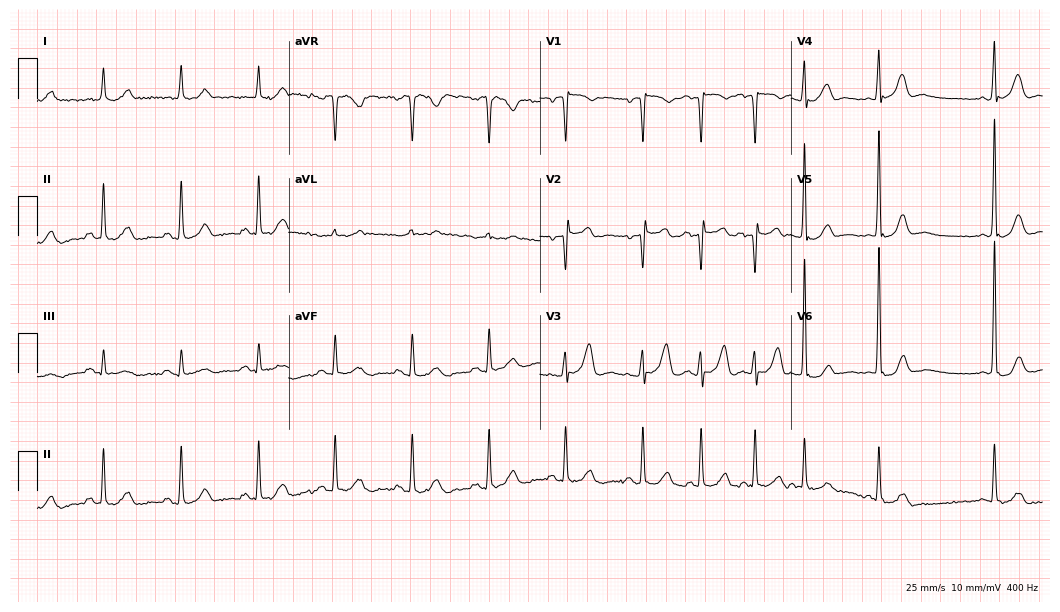
Resting 12-lead electrocardiogram. Patient: an 80-year-old female. Read as a normal ECG.